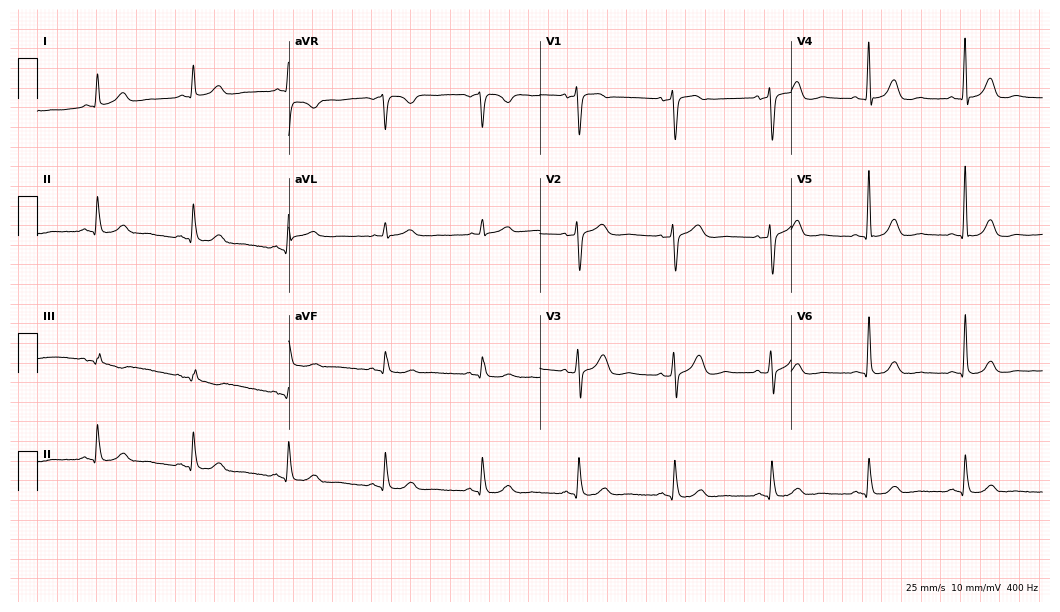
Resting 12-lead electrocardiogram (10.2-second recording at 400 Hz). Patient: a male, 64 years old. None of these six findings is recorded: first-degree AV block, right bundle branch block, left bundle branch block, sinus bradycardia, atrial fibrillation, sinus tachycardia.